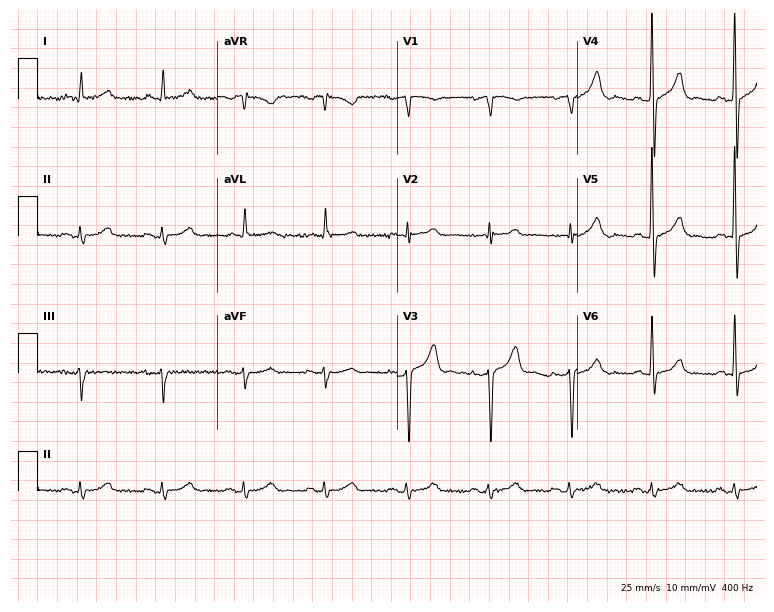
ECG (7.3-second recording at 400 Hz) — a male, 70 years old. Screened for six findings — first-degree AV block, right bundle branch block (RBBB), left bundle branch block (LBBB), sinus bradycardia, atrial fibrillation (AF), sinus tachycardia — none is recorded.